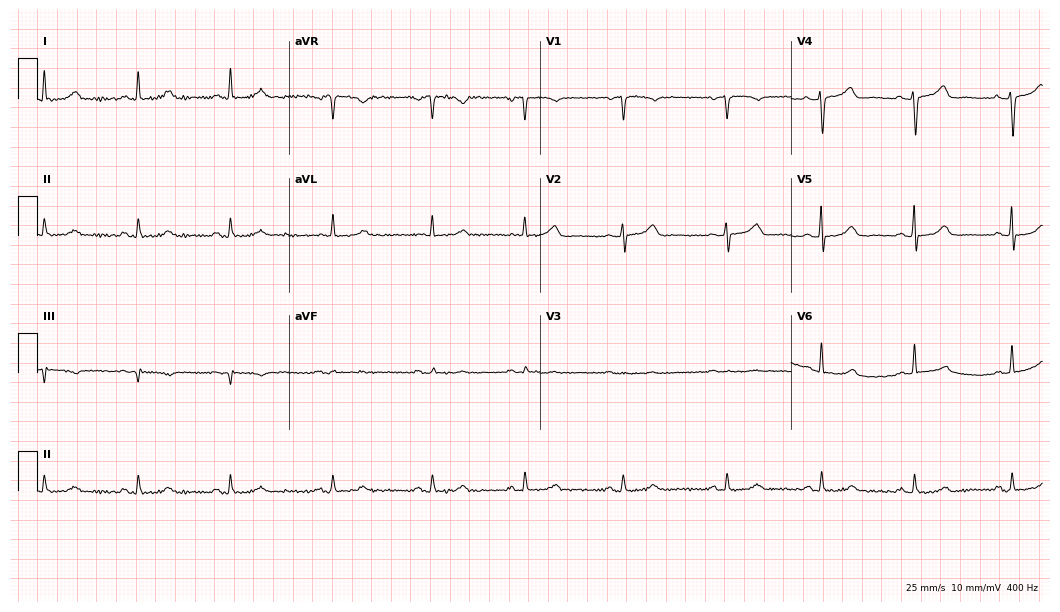
ECG — a woman, 64 years old. Labelled as a normal ECG.